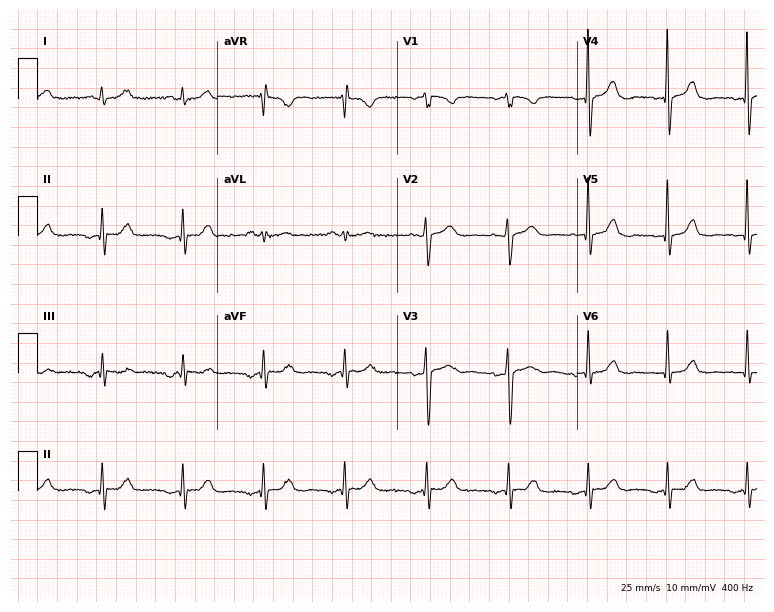
ECG — a 65-year-old female. Screened for six findings — first-degree AV block, right bundle branch block, left bundle branch block, sinus bradycardia, atrial fibrillation, sinus tachycardia — none is recorded.